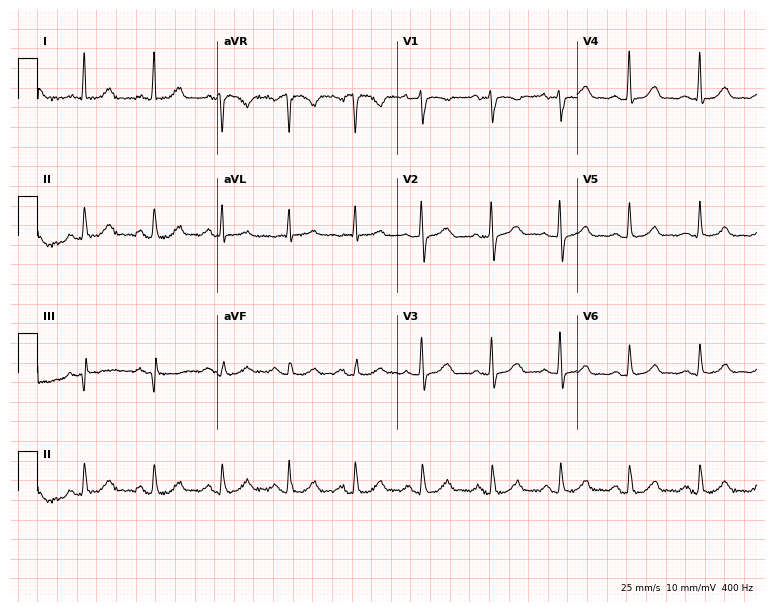
Resting 12-lead electrocardiogram. Patient: a 34-year-old woman. Read as a normal ECG.